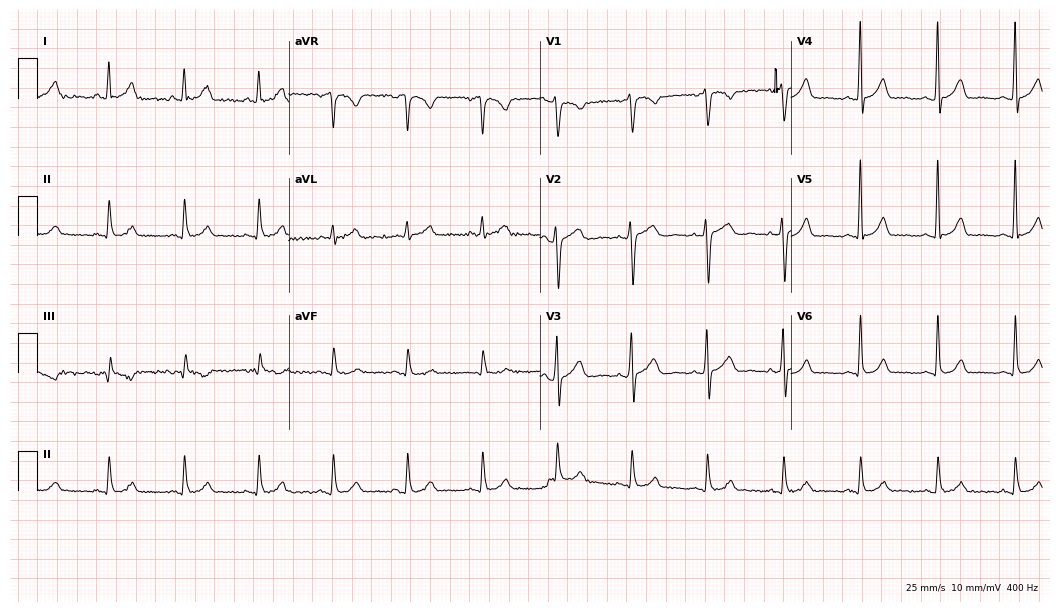
12-lead ECG from a 53-year-old male patient. Labelled as a normal ECG.